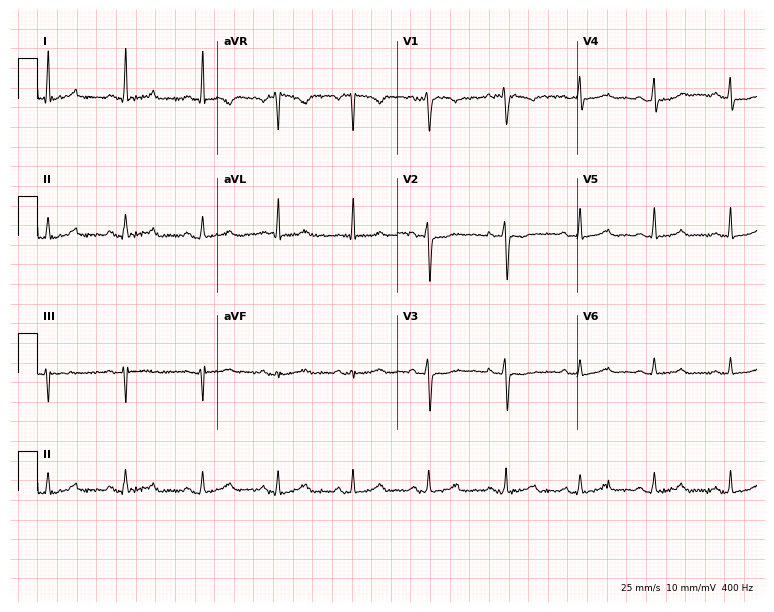
12-lead ECG (7.3-second recording at 400 Hz) from a female, 45 years old. Labelled as a normal ECG.